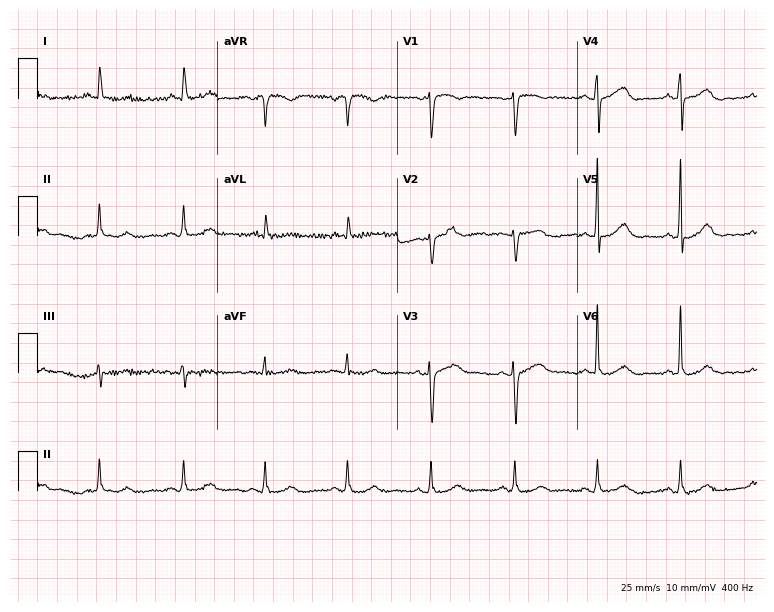
ECG — a 62-year-old female. Labelled as a normal ECG.